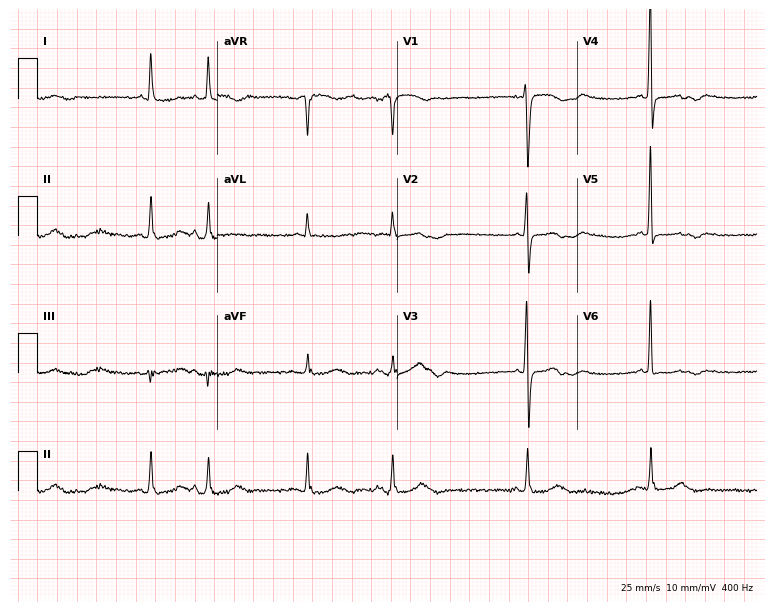
Resting 12-lead electrocardiogram (7.3-second recording at 400 Hz). Patient: a 66-year-old male. None of these six findings is recorded: first-degree AV block, right bundle branch block, left bundle branch block, sinus bradycardia, atrial fibrillation, sinus tachycardia. Findings outside these six are not listed.